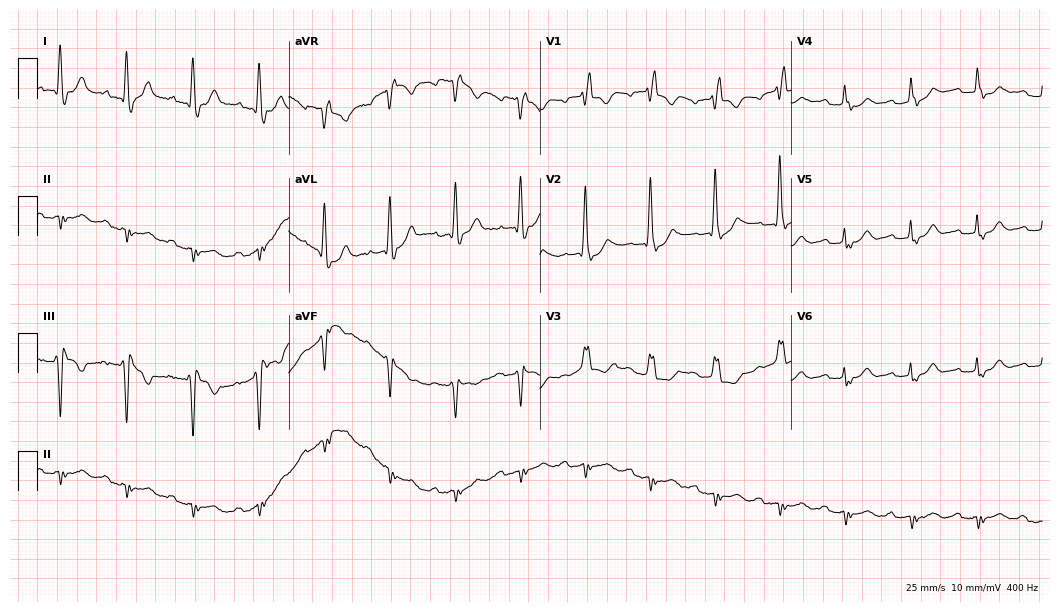
12-lead ECG from a woman, 79 years old (10.2-second recording at 400 Hz). Shows first-degree AV block, right bundle branch block.